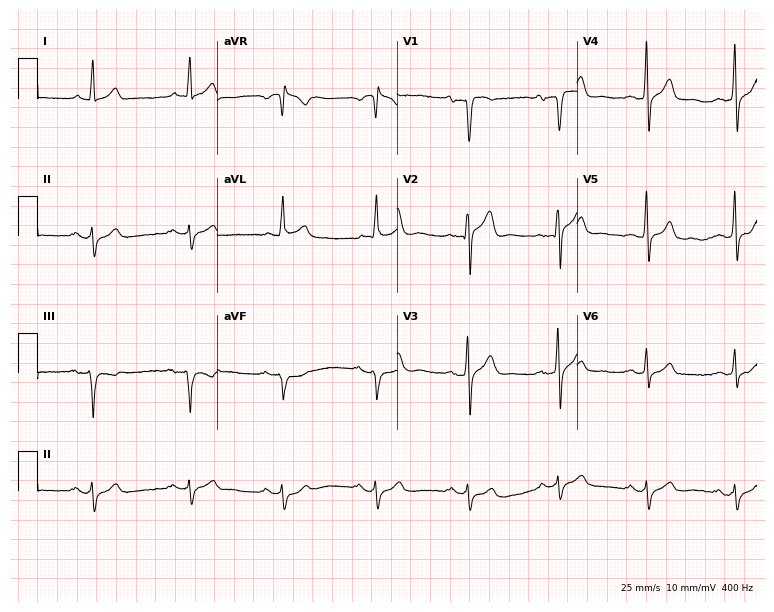
Electrocardiogram (7.3-second recording at 400 Hz), a male patient, 44 years old. Of the six screened findings (first-degree AV block, right bundle branch block (RBBB), left bundle branch block (LBBB), sinus bradycardia, atrial fibrillation (AF), sinus tachycardia), none is recorded.